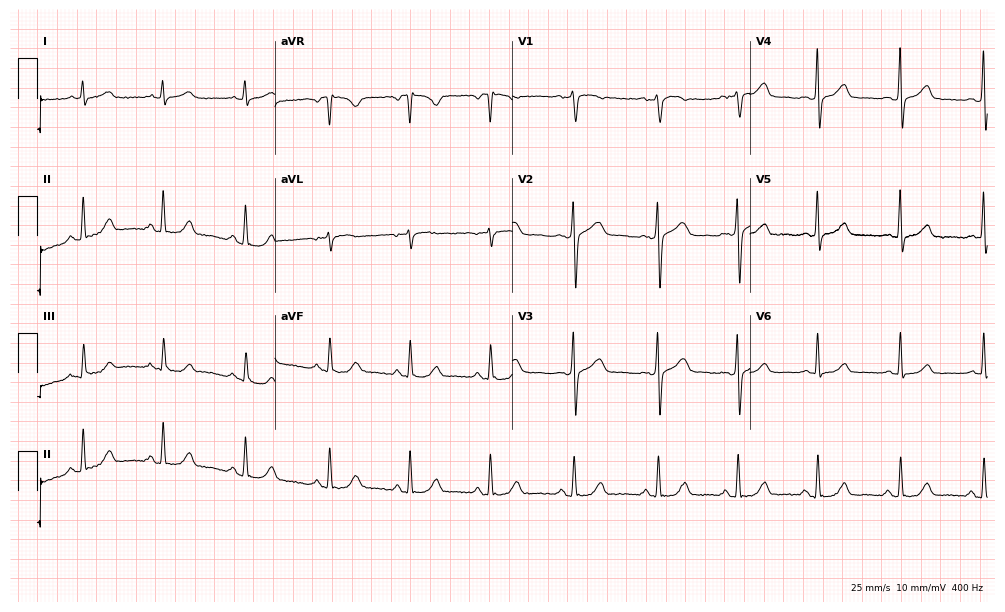
Standard 12-lead ECG recorded from a woman, 55 years old. None of these six findings is recorded: first-degree AV block, right bundle branch block (RBBB), left bundle branch block (LBBB), sinus bradycardia, atrial fibrillation (AF), sinus tachycardia.